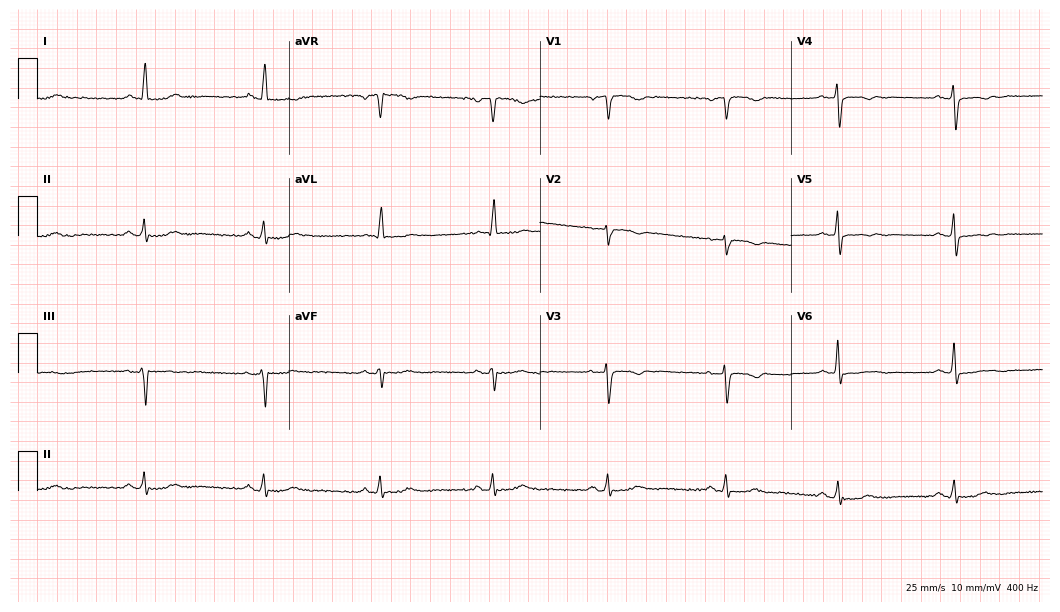
ECG (10.2-second recording at 400 Hz) — a 68-year-old woman. Findings include sinus bradycardia (a sinus rate of 50 beats per minute or less).